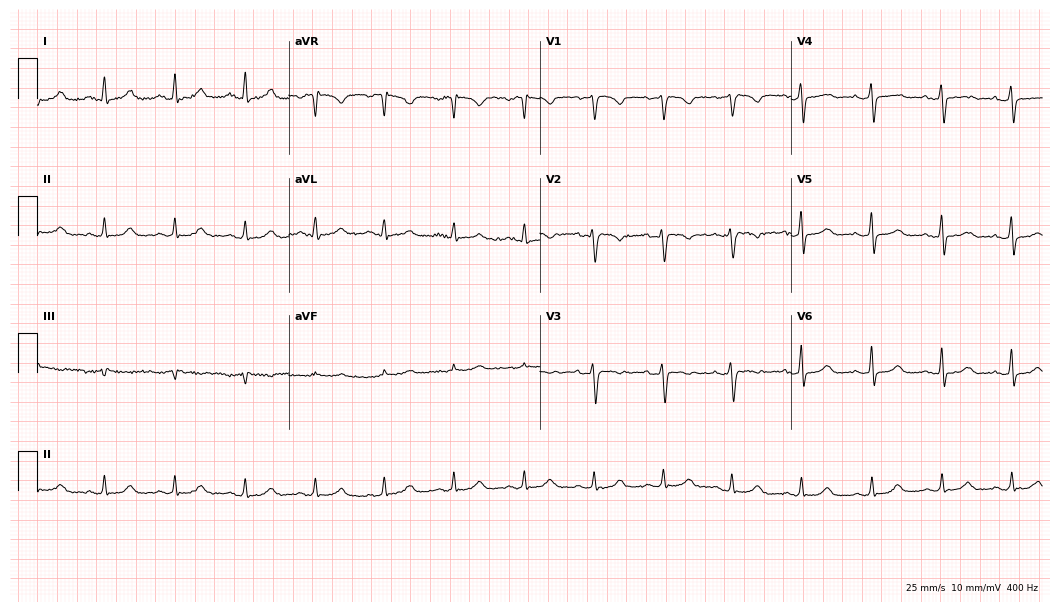
ECG — a 46-year-old woman. Screened for six findings — first-degree AV block, right bundle branch block (RBBB), left bundle branch block (LBBB), sinus bradycardia, atrial fibrillation (AF), sinus tachycardia — none is recorded.